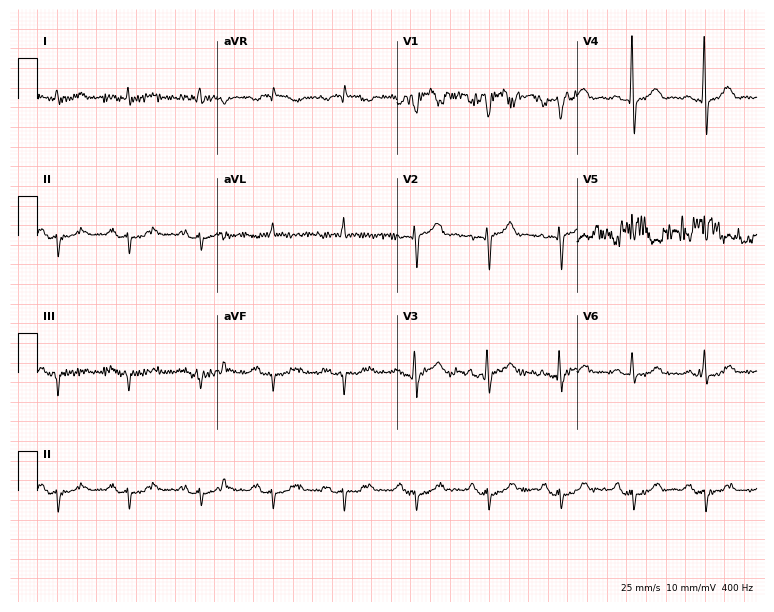
Standard 12-lead ECG recorded from a 79-year-old male. None of these six findings is recorded: first-degree AV block, right bundle branch block (RBBB), left bundle branch block (LBBB), sinus bradycardia, atrial fibrillation (AF), sinus tachycardia.